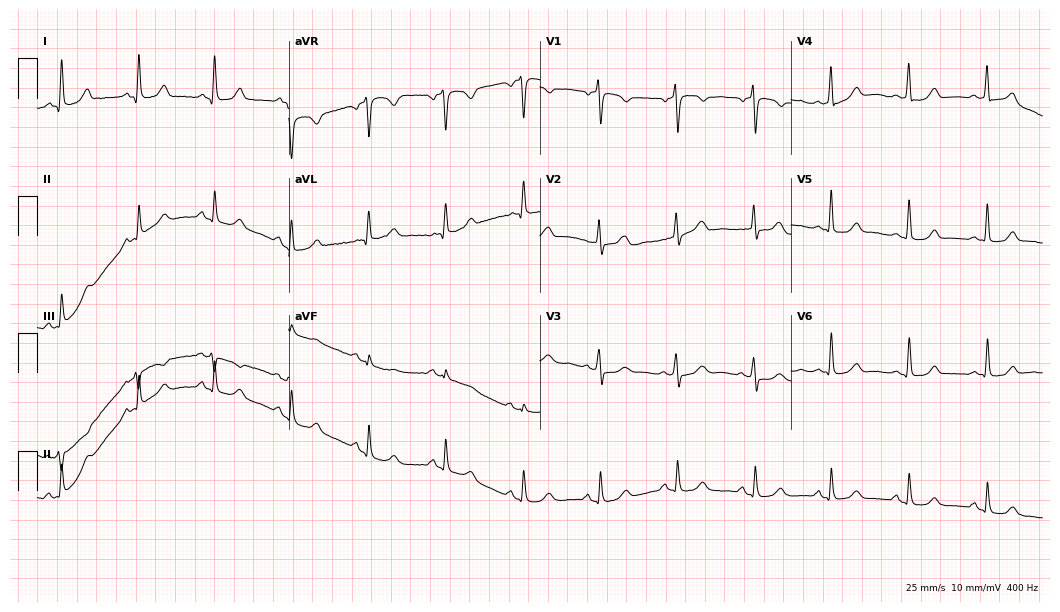
12-lead ECG from a 55-year-old female patient. Labelled as a normal ECG.